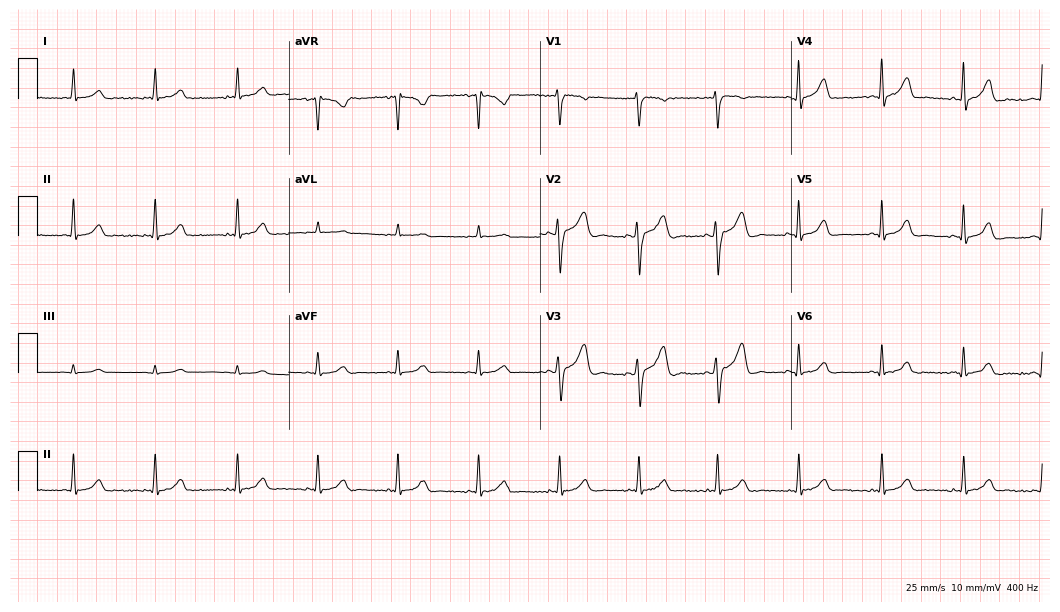
Standard 12-lead ECG recorded from a 35-year-old female. Read as a normal ECG.